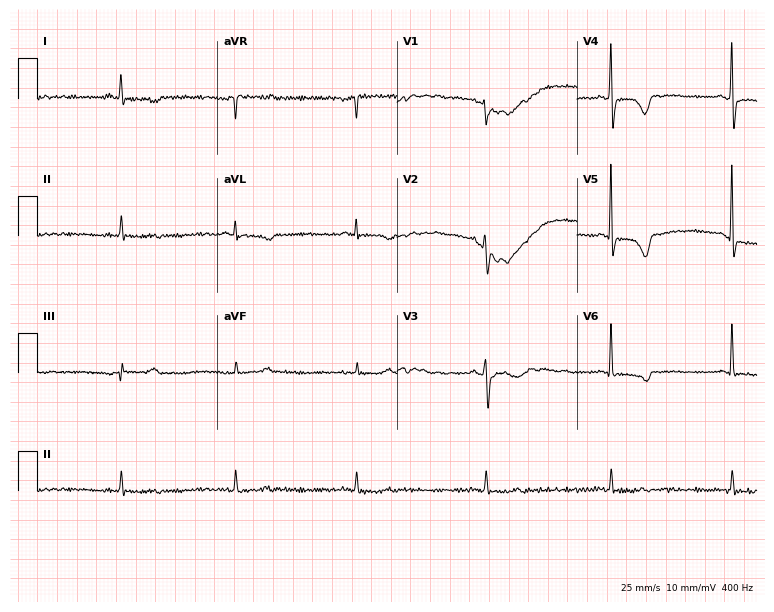
Standard 12-lead ECG recorded from a female, 53 years old (7.3-second recording at 400 Hz). The tracing shows sinus bradycardia (a sinus rate of 50 beats per minute or less).